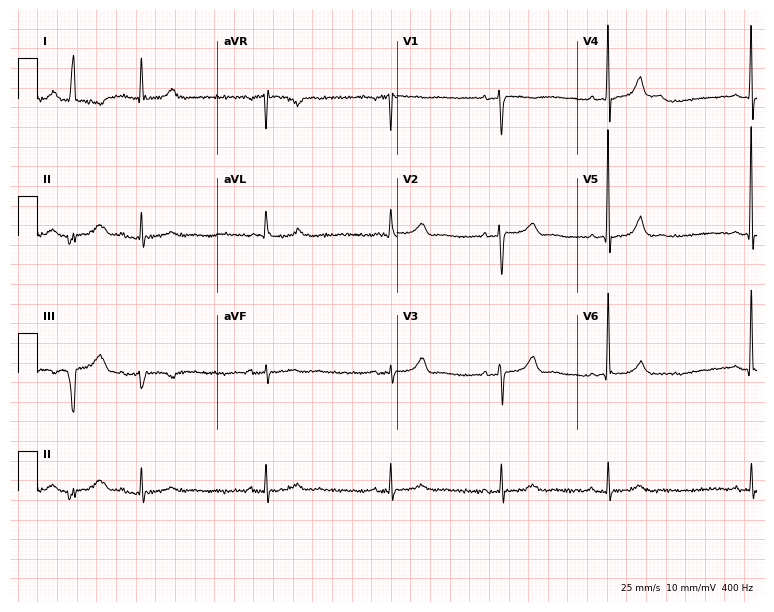
Resting 12-lead electrocardiogram (7.3-second recording at 400 Hz). Patient: a woman, 75 years old. The tracing shows sinus bradycardia (a sinus rate of 50 beats per minute or less).